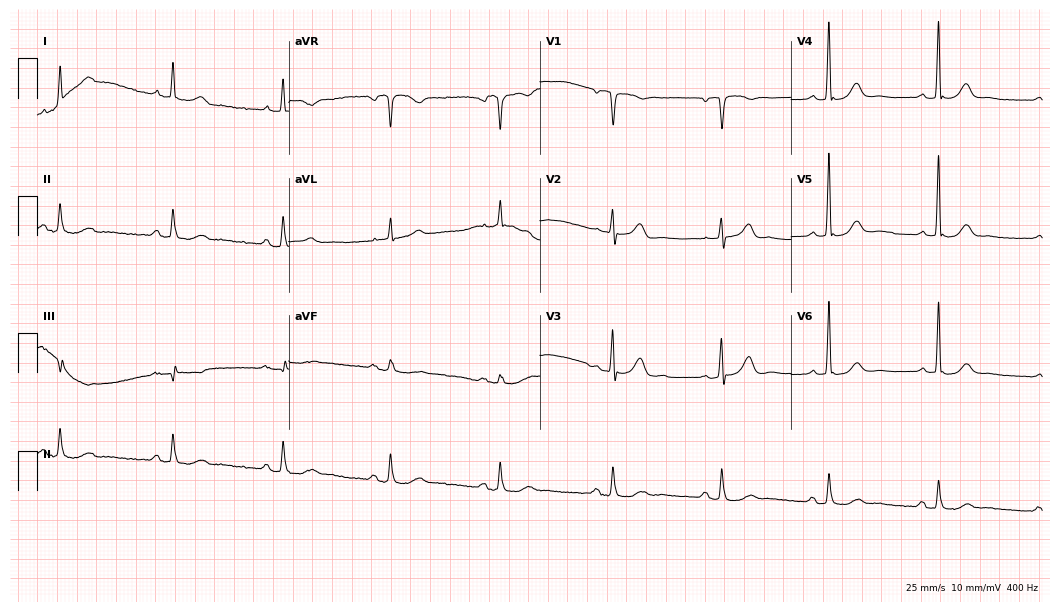
Standard 12-lead ECG recorded from an 80-year-old male patient (10.2-second recording at 400 Hz). None of these six findings is recorded: first-degree AV block, right bundle branch block (RBBB), left bundle branch block (LBBB), sinus bradycardia, atrial fibrillation (AF), sinus tachycardia. Other findings, if any, are not listed.